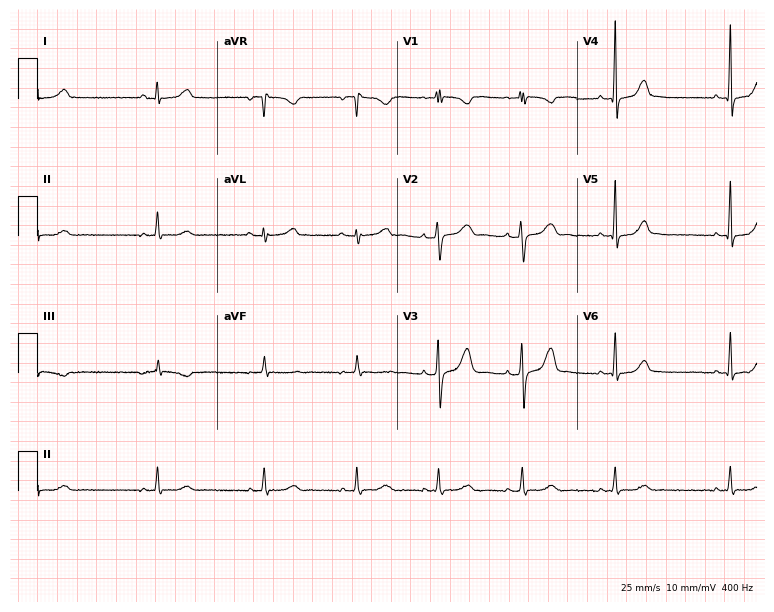
Electrocardiogram, a 19-year-old female patient. Overall reading on record: normal ECG.